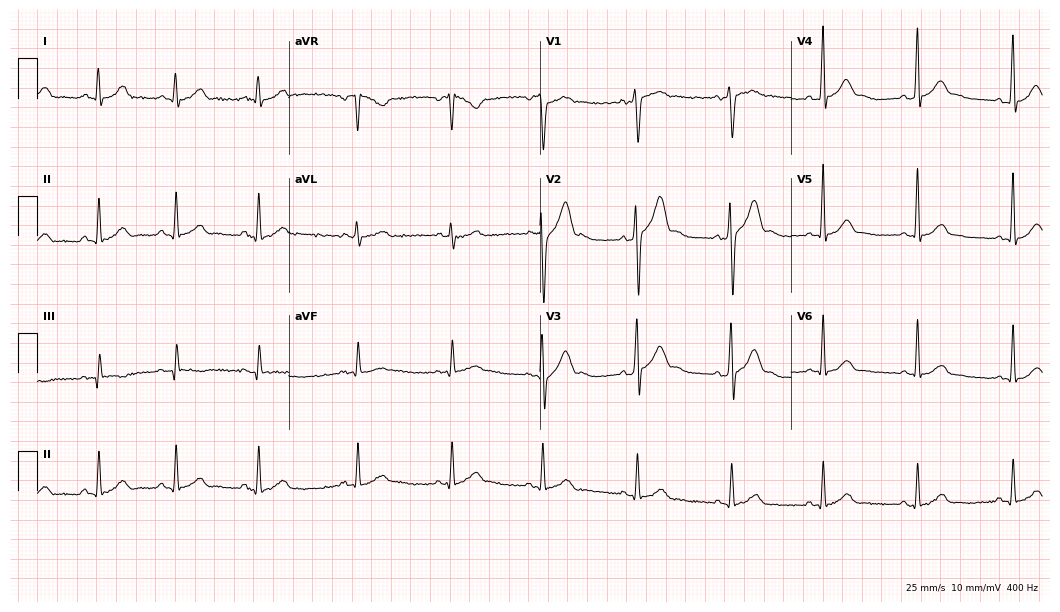
12-lead ECG from a 30-year-old man. Recorded interpretation: within normal limits.